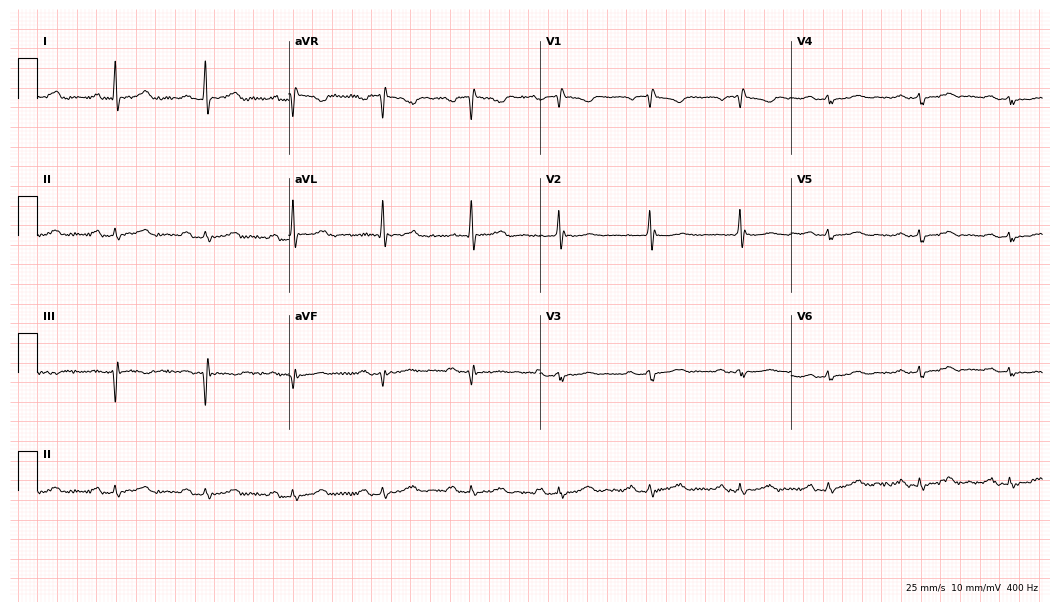
Electrocardiogram (10.2-second recording at 400 Hz), a 70-year-old female. Interpretation includes first-degree AV block.